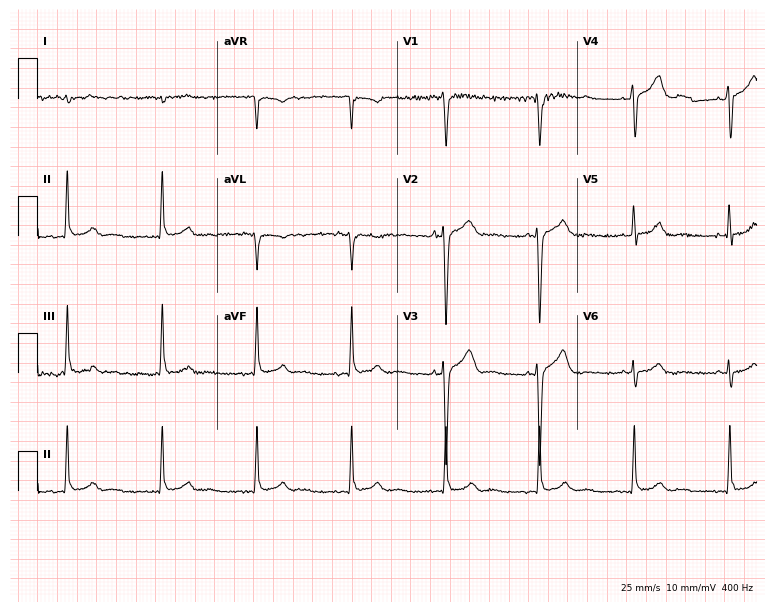
ECG (7.3-second recording at 400 Hz) — a 30-year-old male patient. Screened for six findings — first-degree AV block, right bundle branch block, left bundle branch block, sinus bradycardia, atrial fibrillation, sinus tachycardia — none is recorded.